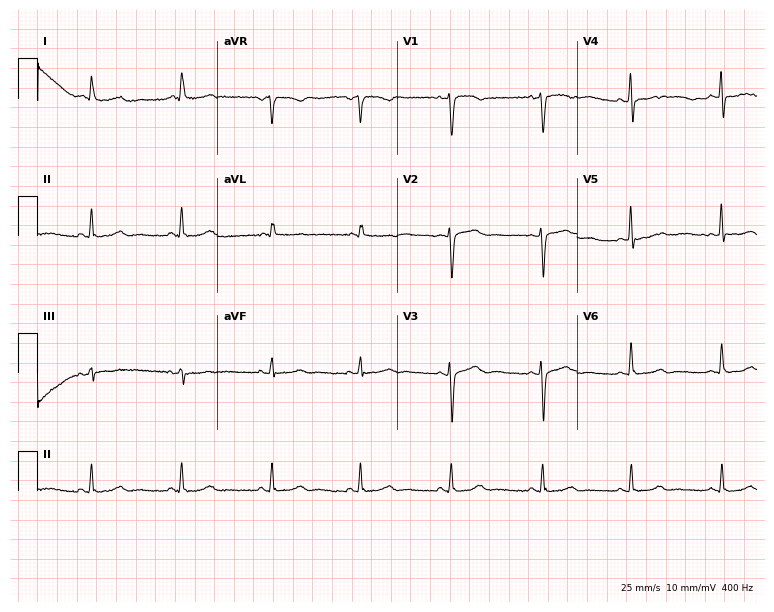
ECG (7.3-second recording at 400 Hz) — a woman, 59 years old. Screened for six findings — first-degree AV block, right bundle branch block, left bundle branch block, sinus bradycardia, atrial fibrillation, sinus tachycardia — none is recorded. Findings outside these six are not listed.